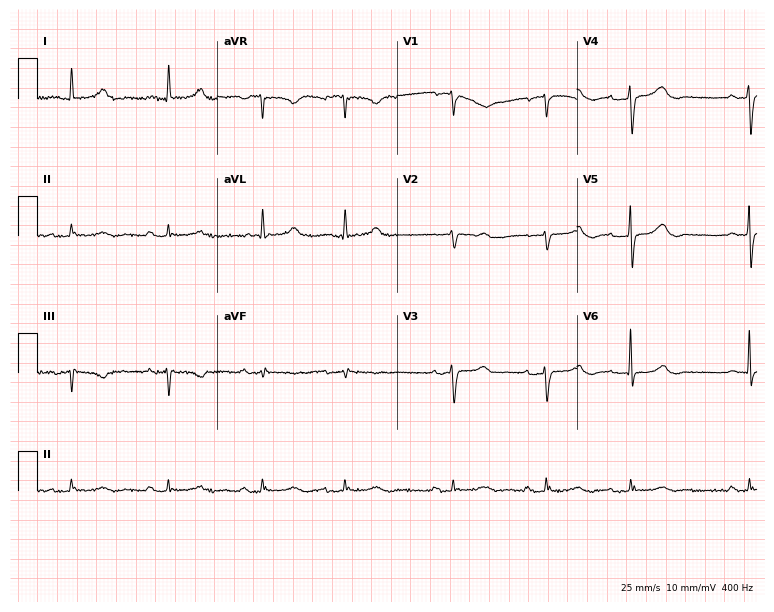
12-lead ECG from a female patient, 76 years old. Labelled as a normal ECG.